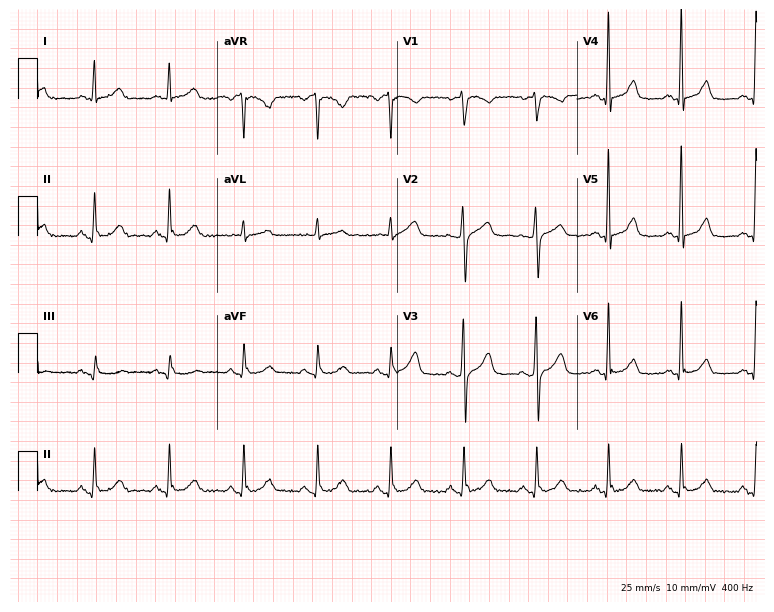
Standard 12-lead ECG recorded from a woman, 56 years old. None of these six findings is recorded: first-degree AV block, right bundle branch block, left bundle branch block, sinus bradycardia, atrial fibrillation, sinus tachycardia.